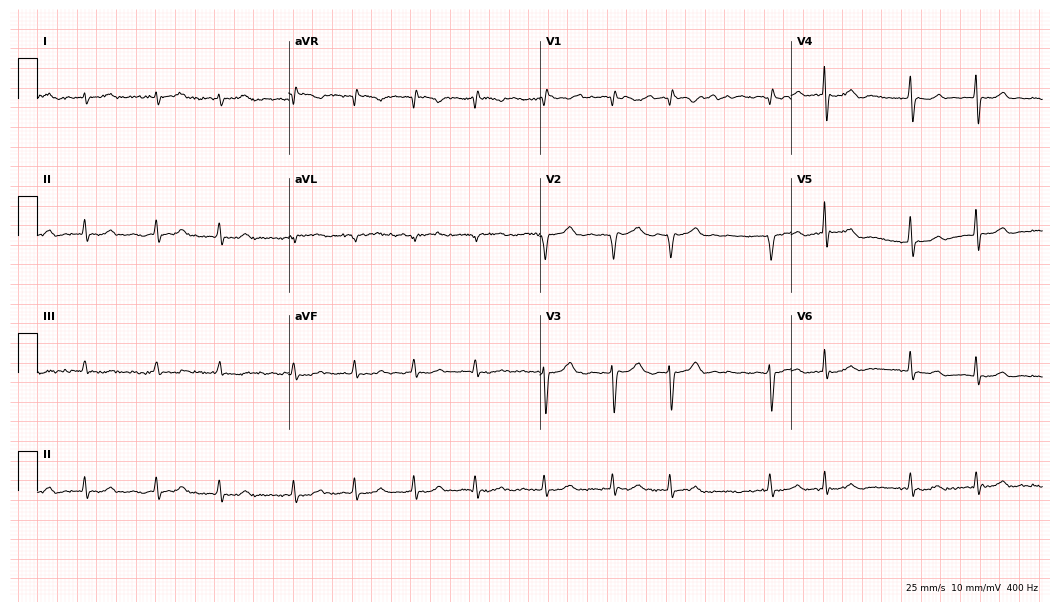
Resting 12-lead electrocardiogram. Patient: a female, 82 years old. The tracing shows atrial fibrillation.